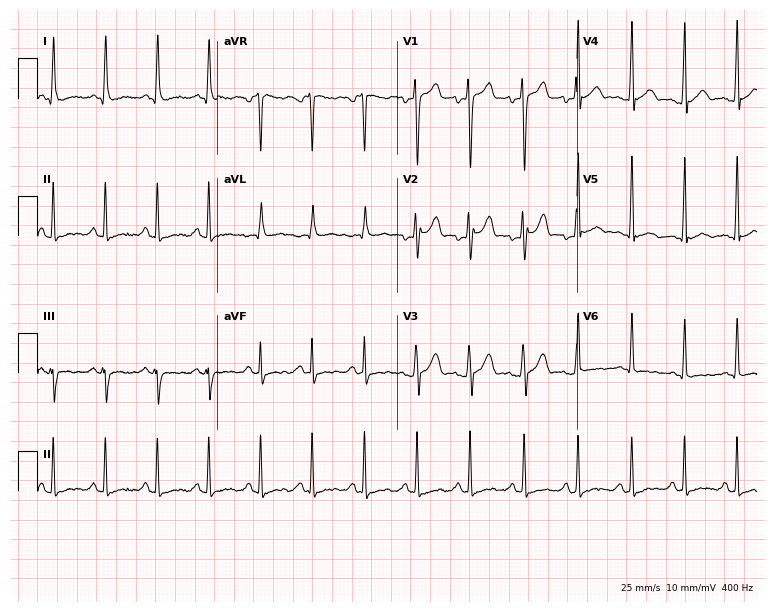
12-lead ECG from a 27-year-old male. Findings include sinus tachycardia (a sinus rate of 100 beats per minute or more).